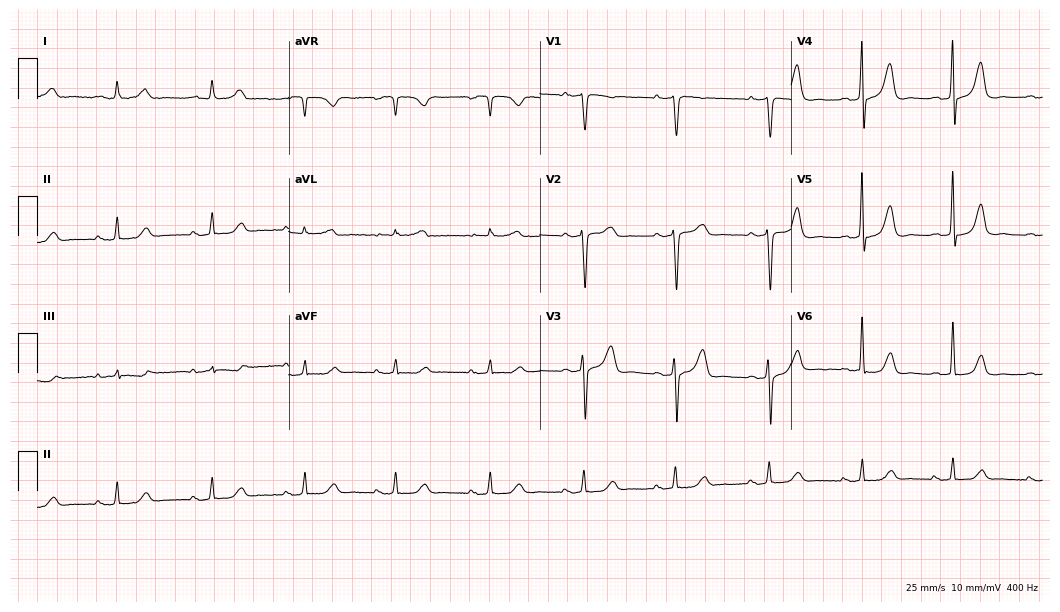
Electrocardiogram (10.2-second recording at 400 Hz), a 58-year-old woman. Of the six screened findings (first-degree AV block, right bundle branch block (RBBB), left bundle branch block (LBBB), sinus bradycardia, atrial fibrillation (AF), sinus tachycardia), none is recorded.